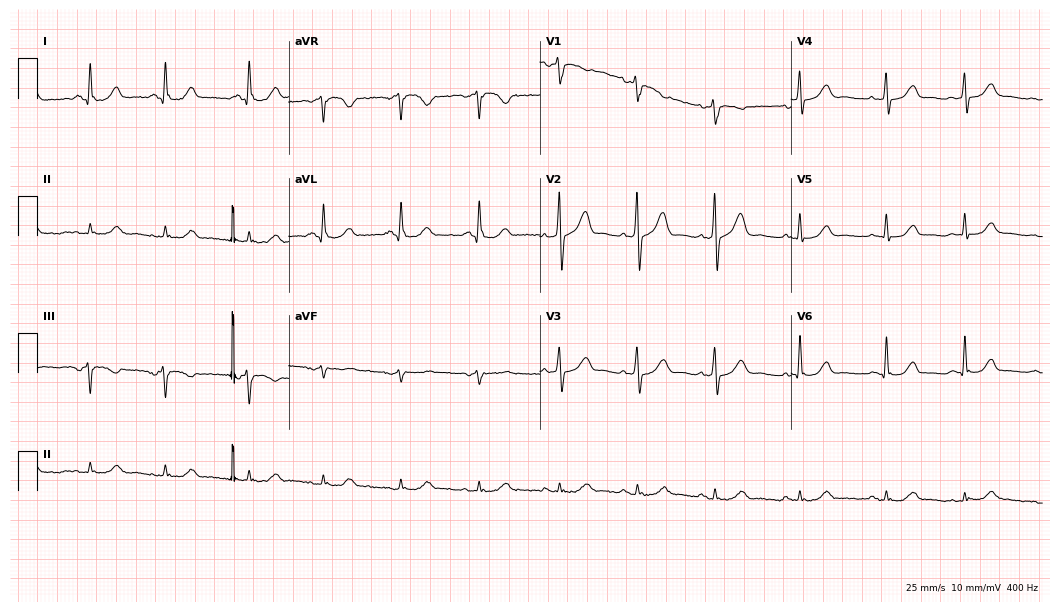
12-lead ECG (10.2-second recording at 400 Hz) from a 56-year-old female patient. Screened for six findings — first-degree AV block, right bundle branch block, left bundle branch block, sinus bradycardia, atrial fibrillation, sinus tachycardia — none is recorded. Other findings, if any, are not listed.